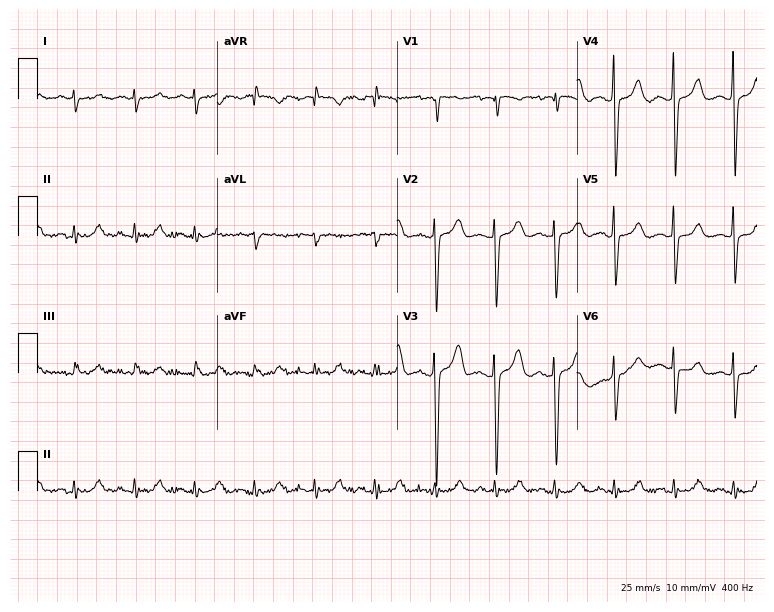
ECG — a woman, 61 years old. Screened for six findings — first-degree AV block, right bundle branch block, left bundle branch block, sinus bradycardia, atrial fibrillation, sinus tachycardia — none is recorded.